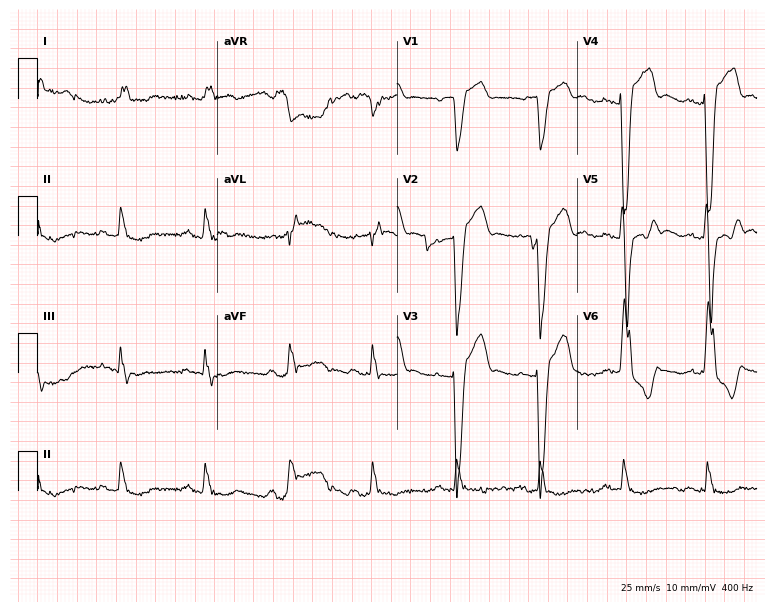
Electrocardiogram (7.3-second recording at 400 Hz), a 77-year-old male. Interpretation includes left bundle branch block (LBBB).